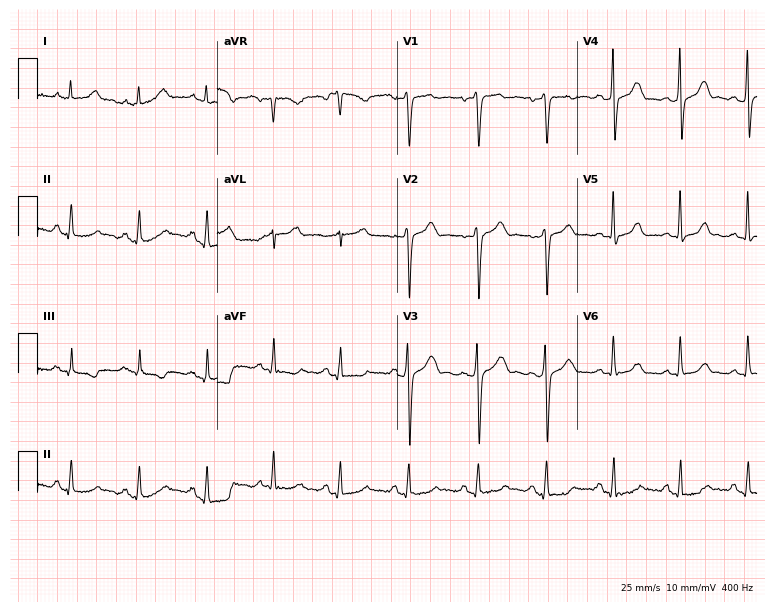
Resting 12-lead electrocardiogram (7.3-second recording at 400 Hz). Patient: a 64-year-old male. Read as a normal ECG.